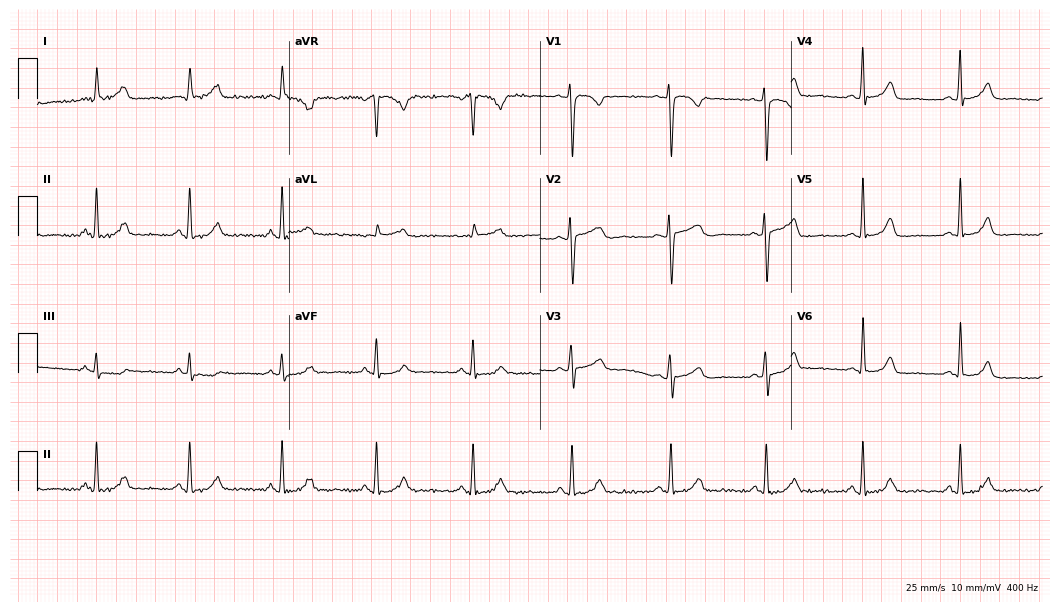
ECG — a female patient, 46 years old. Labelled as a normal ECG.